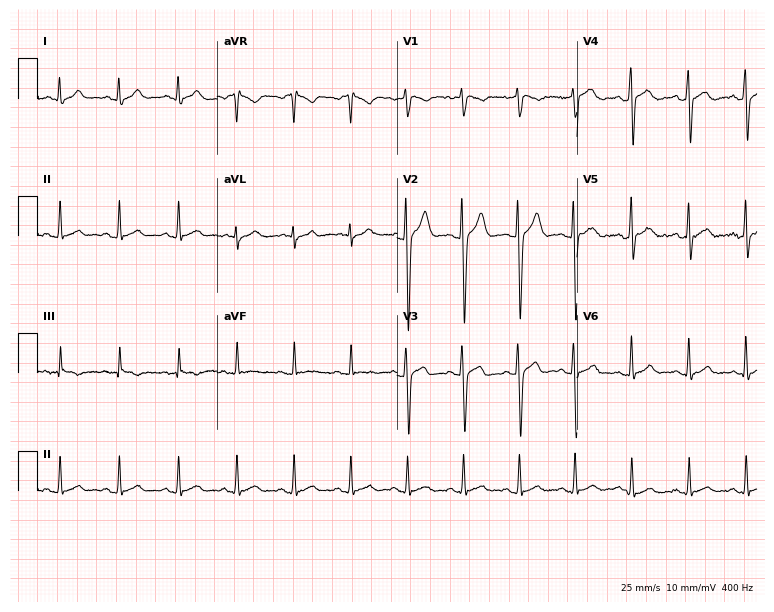
12-lead ECG from a man, 32 years old (7.3-second recording at 400 Hz). Shows sinus tachycardia (a sinus rate of 100 beats per minute or more).